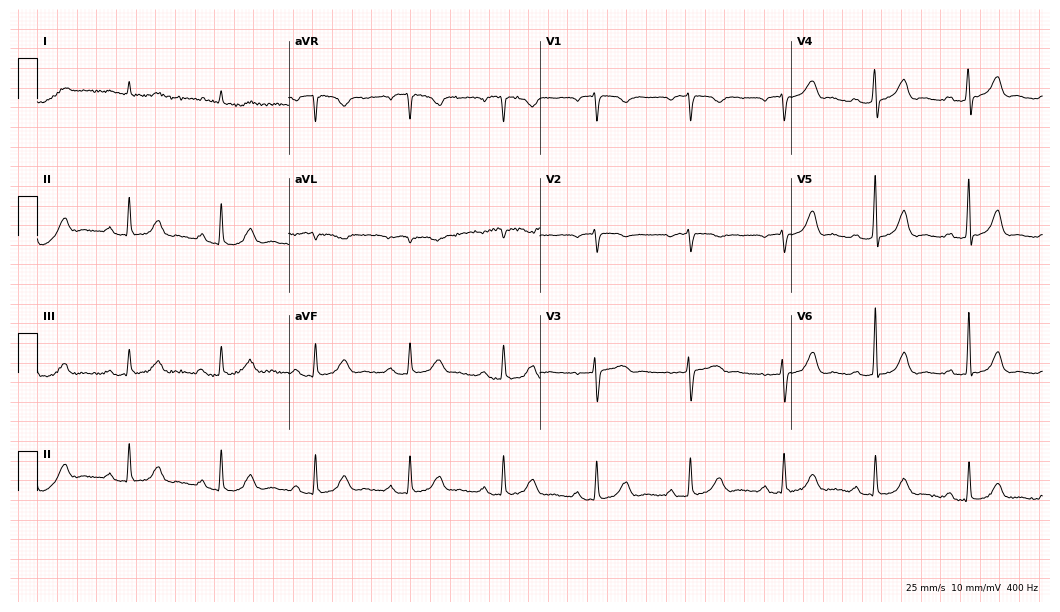
Resting 12-lead electrocardiogram (10.2-second recording at 400 Hz). Patient: an 85-year-old female. The tracing shows first-degree AV block.